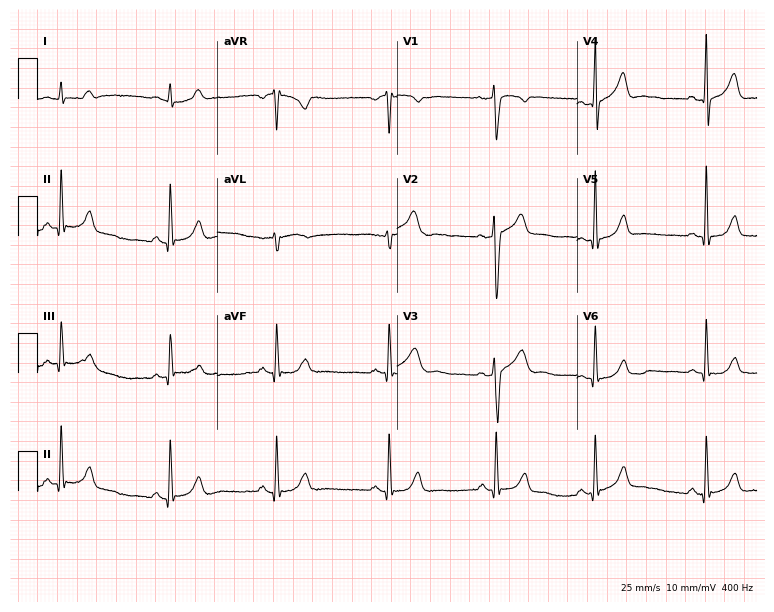
12-lead ECG from a 35-year-old male patient. Labelled as a normal ECG.